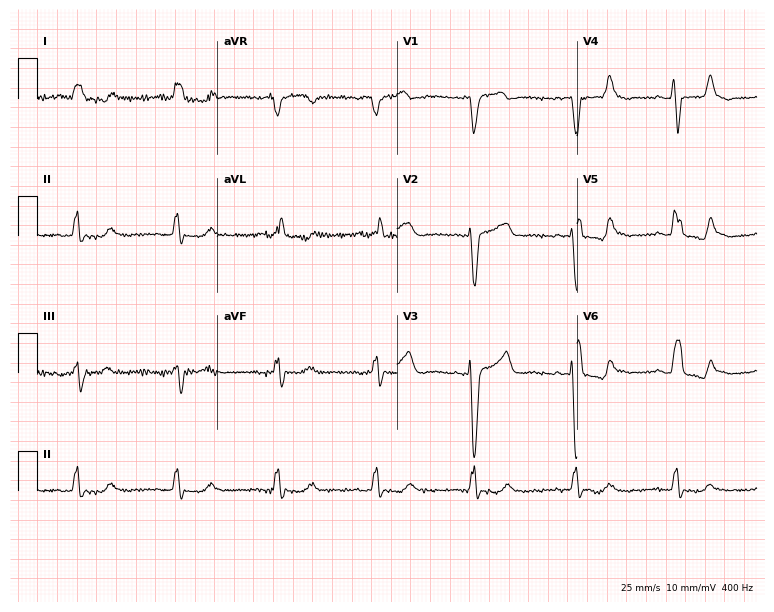
Electrocardiogram, a female patient, 70 years old. Interpretation includes left bundle branch block.